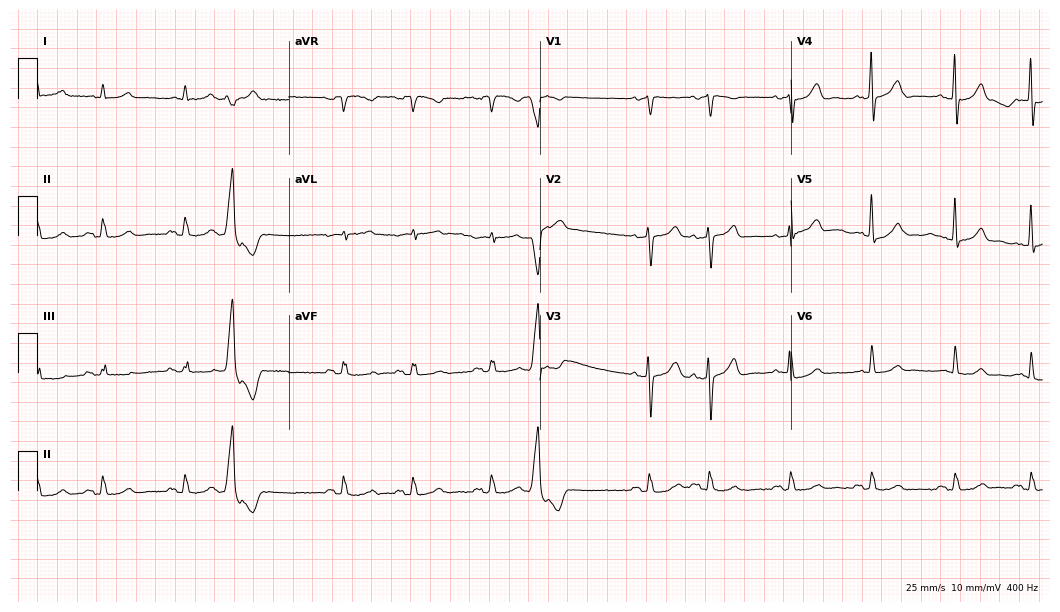
Resting 12-lead electrocardiogram (10.2-second recording at 400 Hz). Patient: a man, 84 years old. None of these six findings is recorded: first-degree AV block, right bundle branch block, left bundle branch block, sinus bradycardia, atrial fibrillation, sinus tachycardia. Other findings, if any, are not listed.